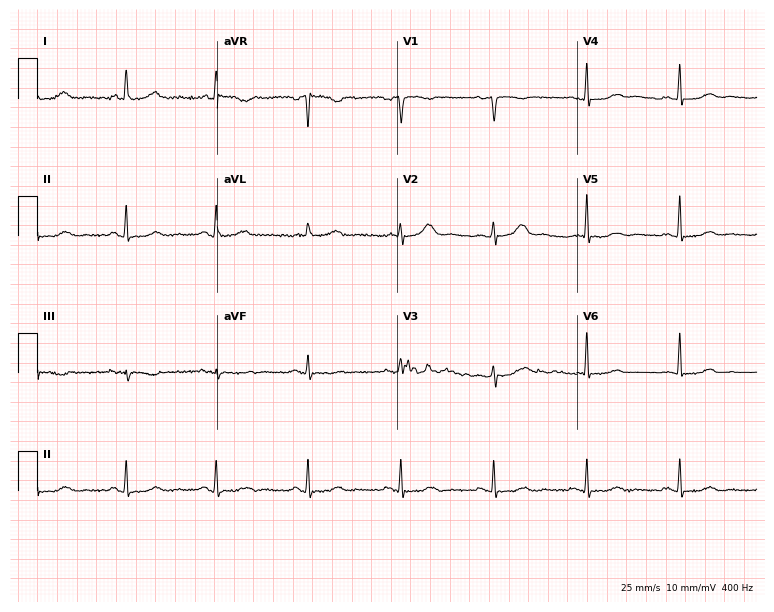
12-lead ECG from a female patient, 59 years old. No first-degree AV block, right bundle branch block (RBBB), left bundle branch block (LBBB), sinus bradycardia, atrial fibrillation (AF) or sinus tachycardia recorded for this tracing. Only these six findings were labelled.